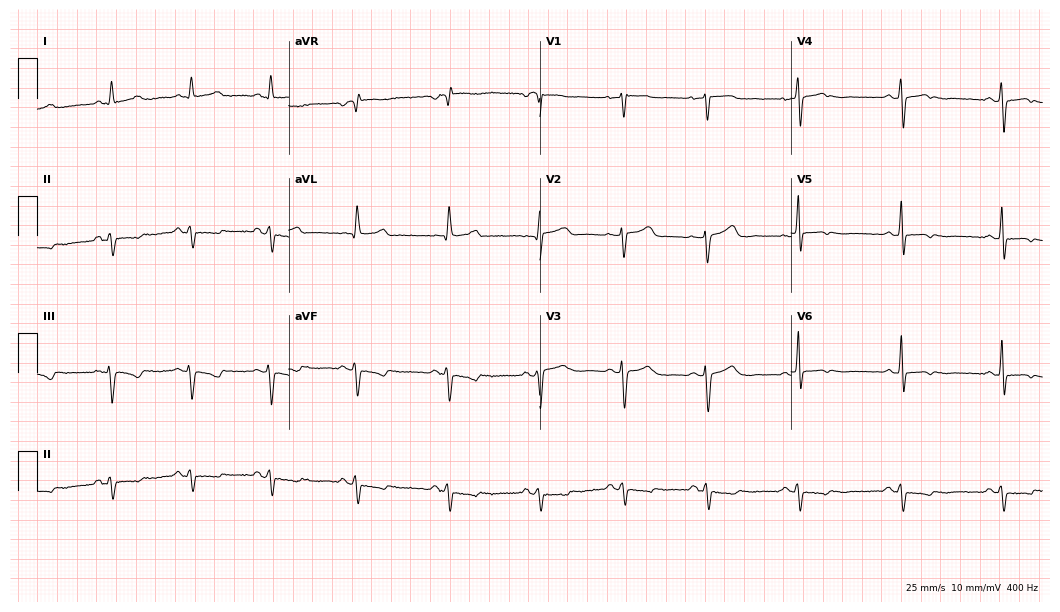
ECG (10.2-second recording at 400 Hz) — a 54-year-old woman. Screened for six findings — first-degree AV block, right bundle branch block, left bundle branch block, sinus bradycardia, atrial fibrillation, sinus tachycardia — none is recorded. Only these six findings were labelled.